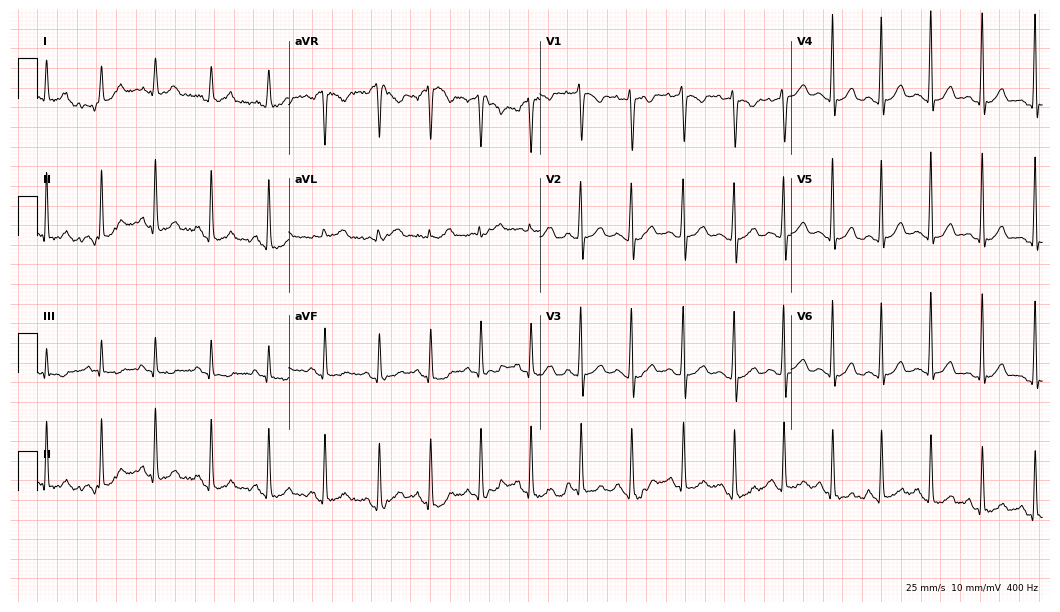
Resting 12-lead electrocardiogram (10.2-second recording at 400 Hz). Patient: a female, 19 years old. The tracing shows sinus tachycardia (a sinus rate of 100 beats per minute or more).